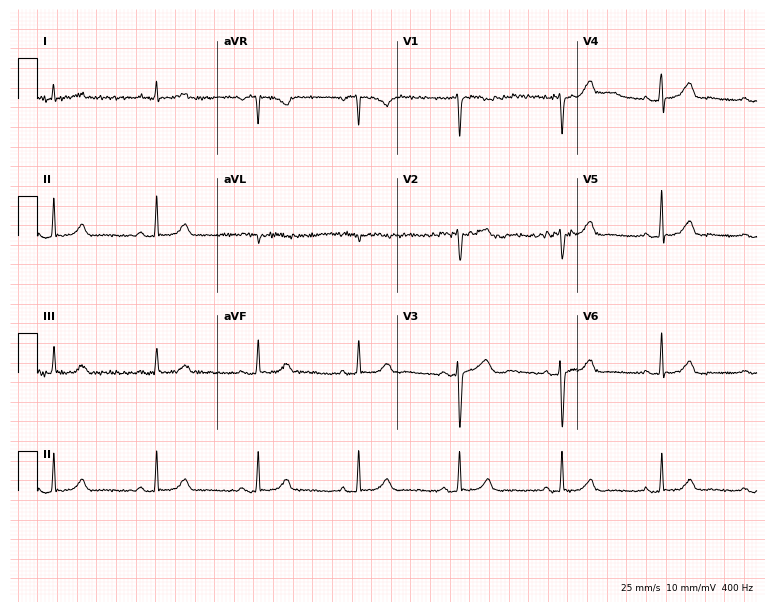
Electrocardiogram (7.3-second recording at 400 Hz), a female, 38 years old. Overall reading on record: normal ECG.